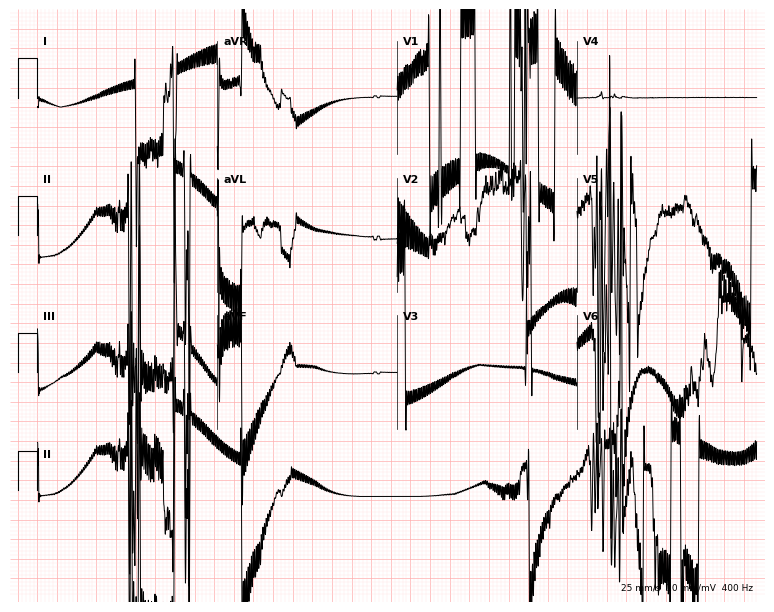
Electrocardiogram, an 86-year-old female patient. Of the six screened findings (first-degree AV block, right bundle branch block (RBBB), left bundle branch block (LBBB), sinus bradycardia, atrial fibrillation (AF), sinus tachycardia), none is recorded. Findings outside these six are not listed.